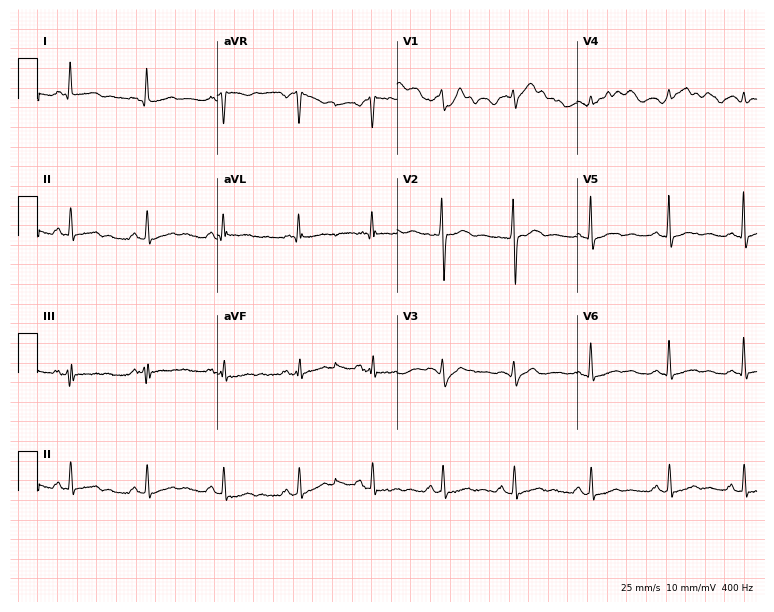
12-lead ECG from a male patient, 34 years old. Screened for six findings — first-degree AV block, right bundle branch block, left bundle branch block, sinus bradycardia, atrial fibrillation, sinus tachycardia — none is recorded.